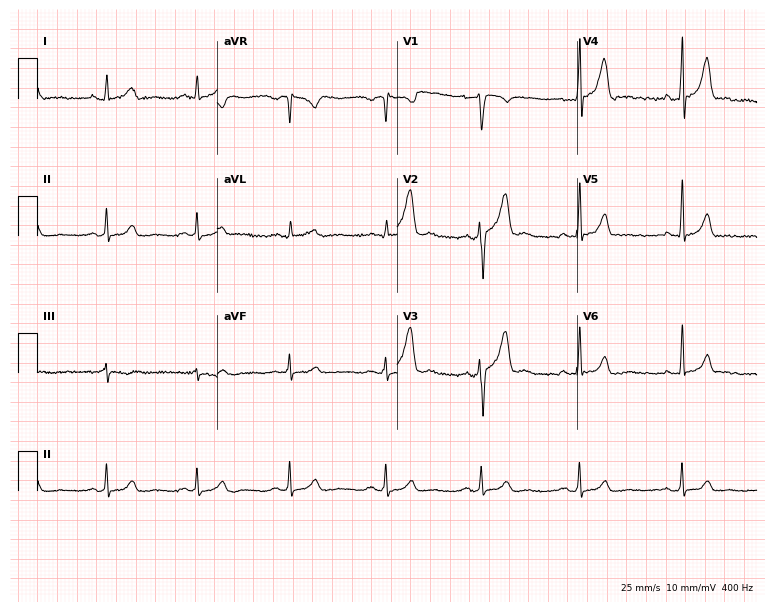
12-lead ECG from a male patient, 36 years old. Recorded interpretation: within normal limits.